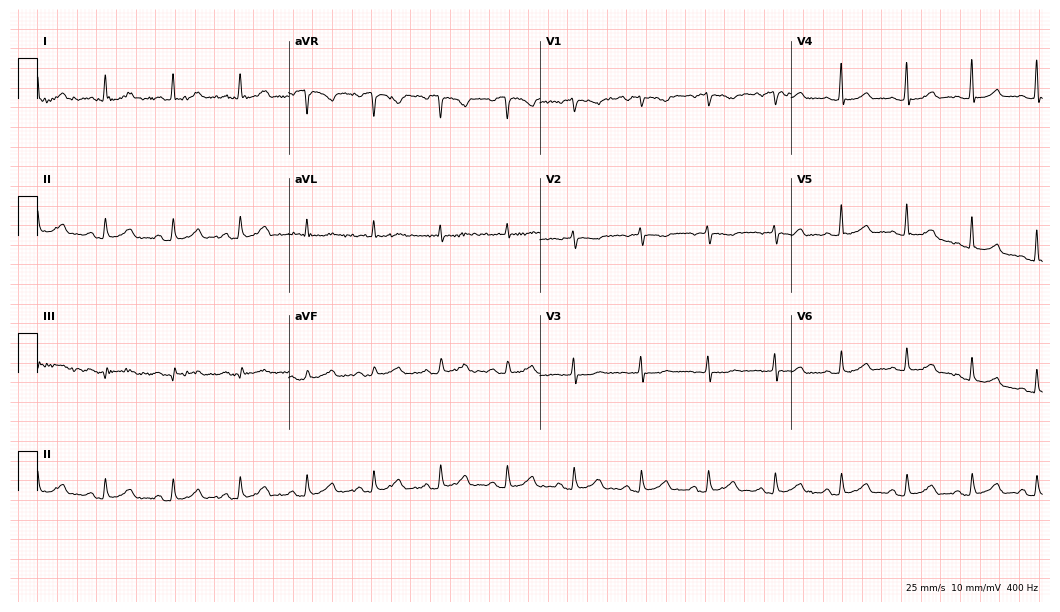
ECG — a 66-year-old female patient. Labelled as a normal ECG.